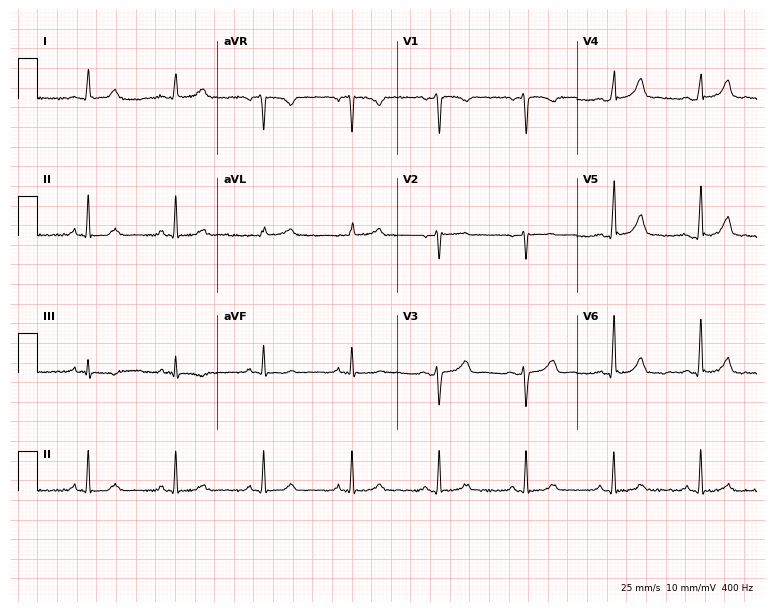
Electrocardiogram, a woman, 43 years old. Of the six screened findings (first-degree AV block, right bundle branch block, left bundle branch block, sinus bradycardia, atrial fibrillation, sinus tachycardia), none is recorded. Only these six findings were labelled.